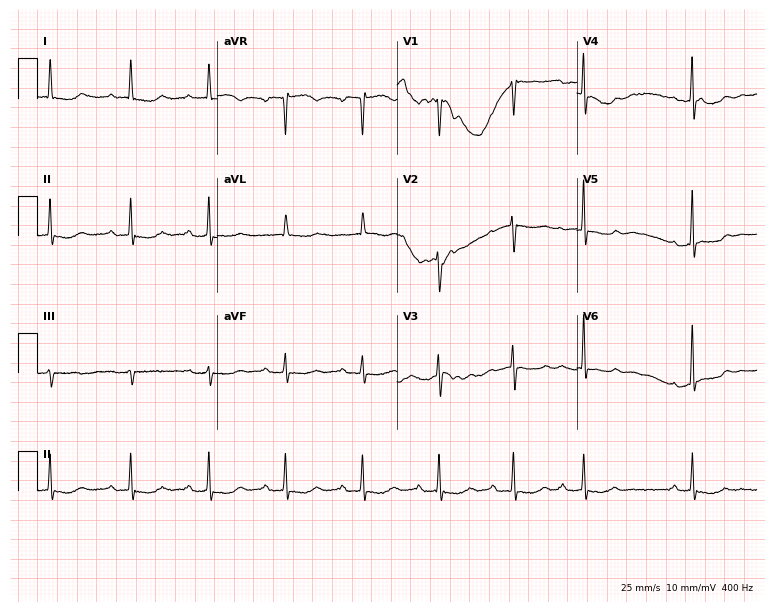
ECG (7.3-second recording at 400 Hz) — a woman, 79 years old. Findings include first-degree AV block.